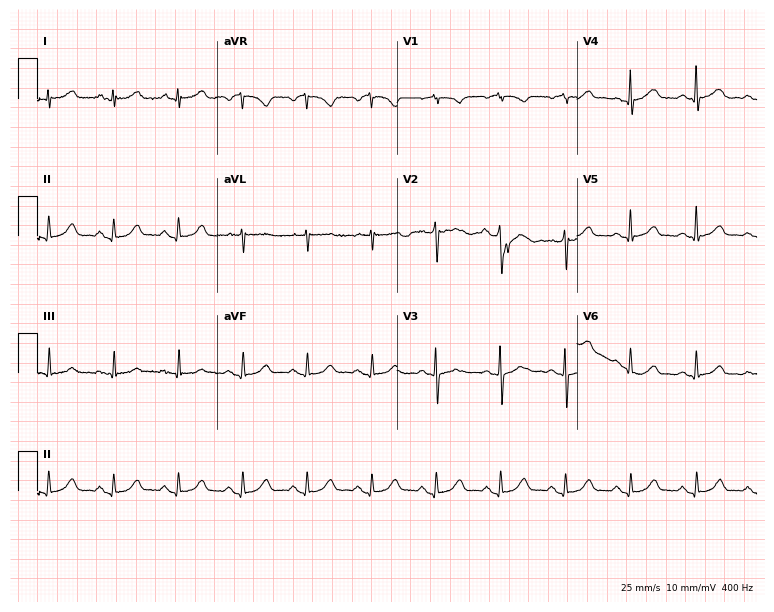
12-lead ECG from a 67-year-old female patient (7.3-second recording at 400 Hz). Recorded interpretation: within normal limits.